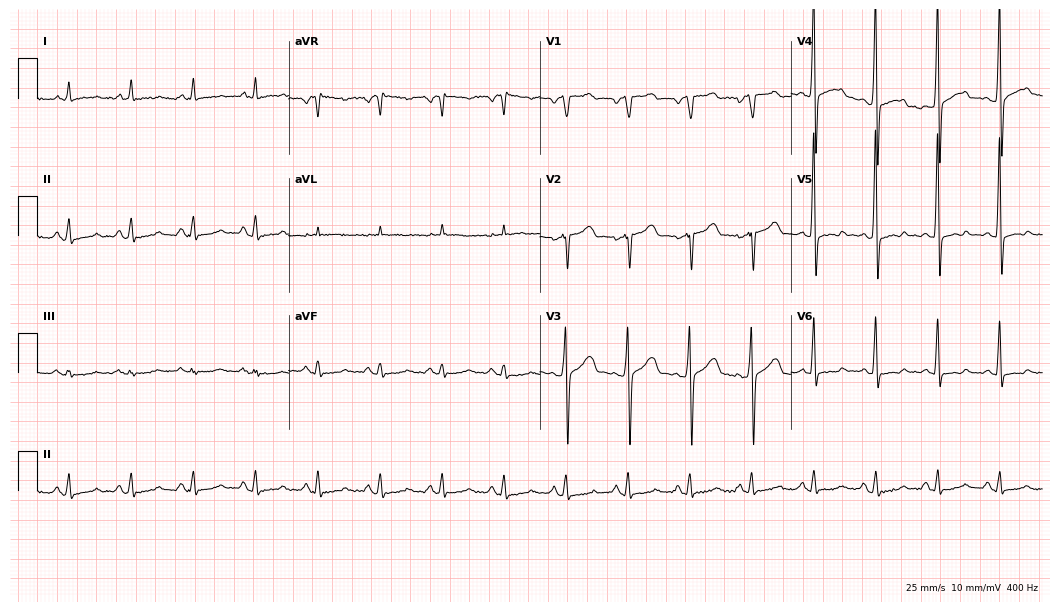
Standard 12-lead ECG recorded from a man, 67 years old (10.2-second recording at 400 Hz). None of these six findings is recorded: first-degree AV block, right bundle branch block, left bundle branch block, sinus bradycardia, atrial fibrillation, sinus tachycardia. Findings outside these six are not listed.